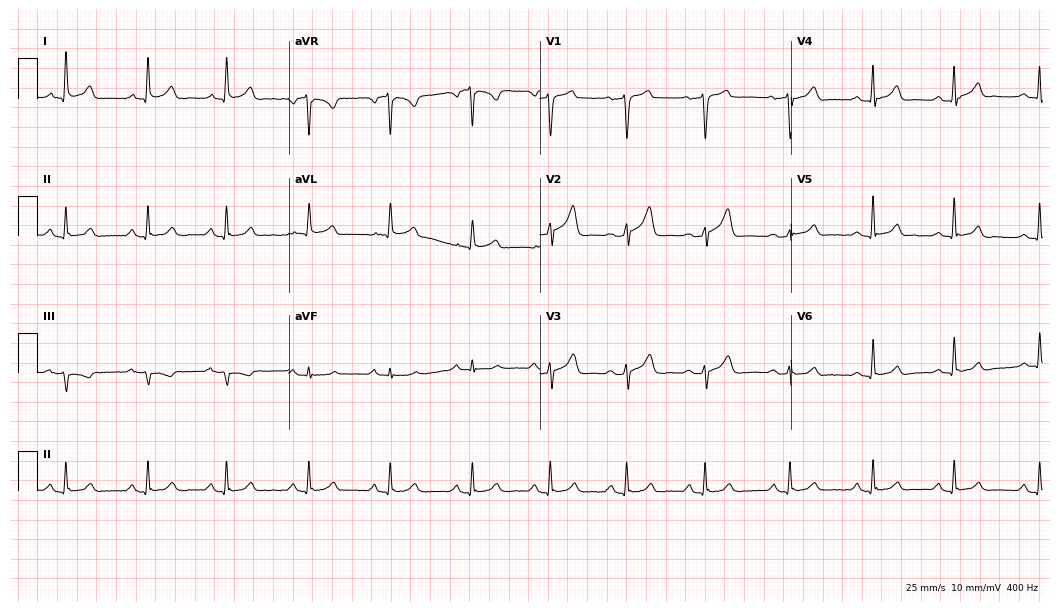
12-lead ECG from a woman, 61 years old (10.2-second recording at 400 Hz). No first-degree AV block, right bundle branch block (RBBB), left bundle branch block (LBBB), sinus bradycardia, atrial fibrillation (AF) or sinus tachycardia recorded for this tracing.